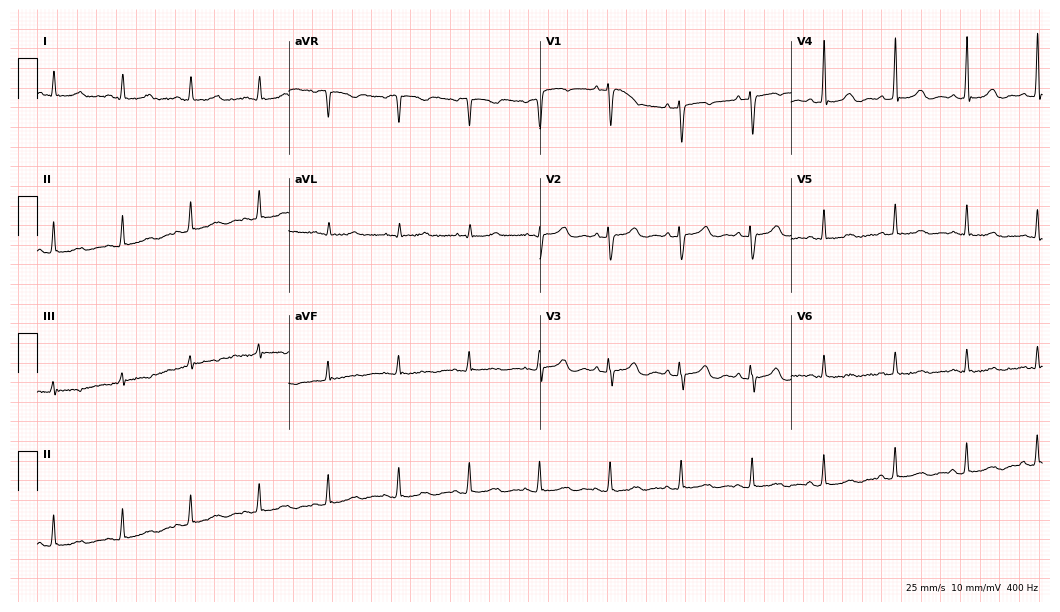
ECG (10.2-second recording at 400 Hz) — a woman, 67 years old. Labelled as a normal ECG.